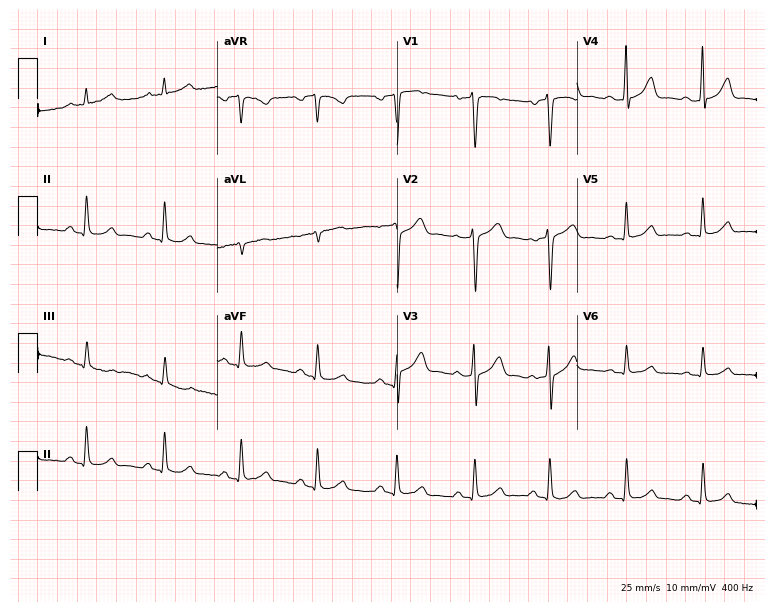
12-lead ECG from a man, 60 years old. No first-degree AV block, right bundle branch block (RBBB), left bundle branch block (LBBB), sinus bradycardia, atrial fibrillation (AF) or sinus tachycardia recorded for this tracing. Findings outside these six are not listed.